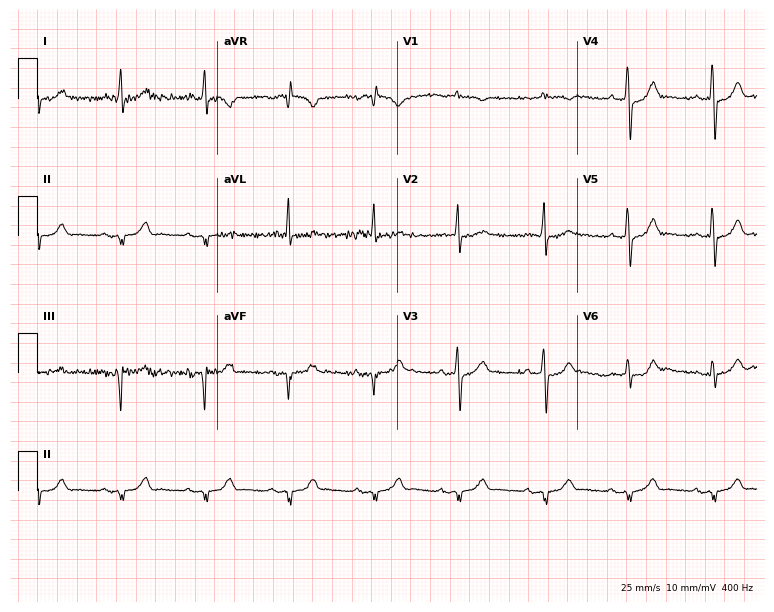
Resting 12-lead electrocardiogram (7.3-second recording at 400 Hz). Patient: a man, 78 years old. None of these six findings is recorded: first-degree AV block, right bundle branch block (RBBB), left bundle branch block (LBBB), sinus bradycardia, atrial fibrillation (AF), sinus tachycardia.